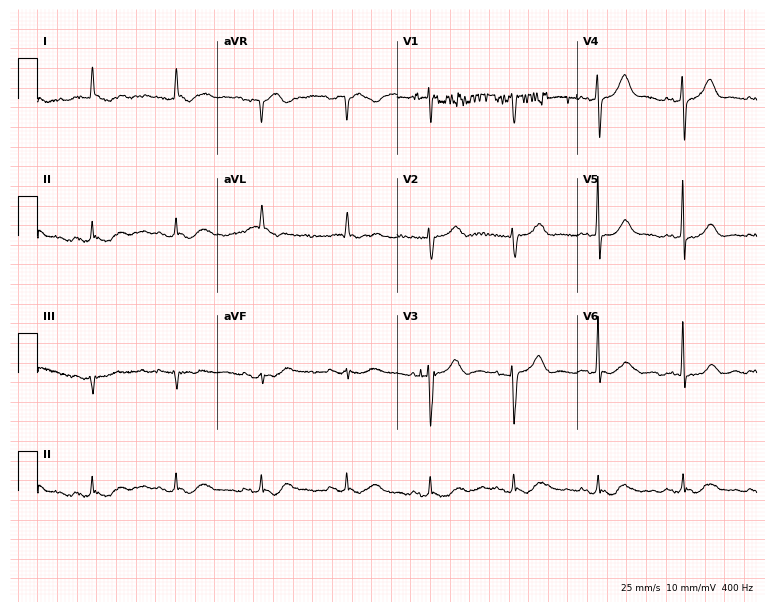
12-lead ECG (7.3-second recording at 400 Hz) from an 82-year-old woman. Labelled as a normal ECG.